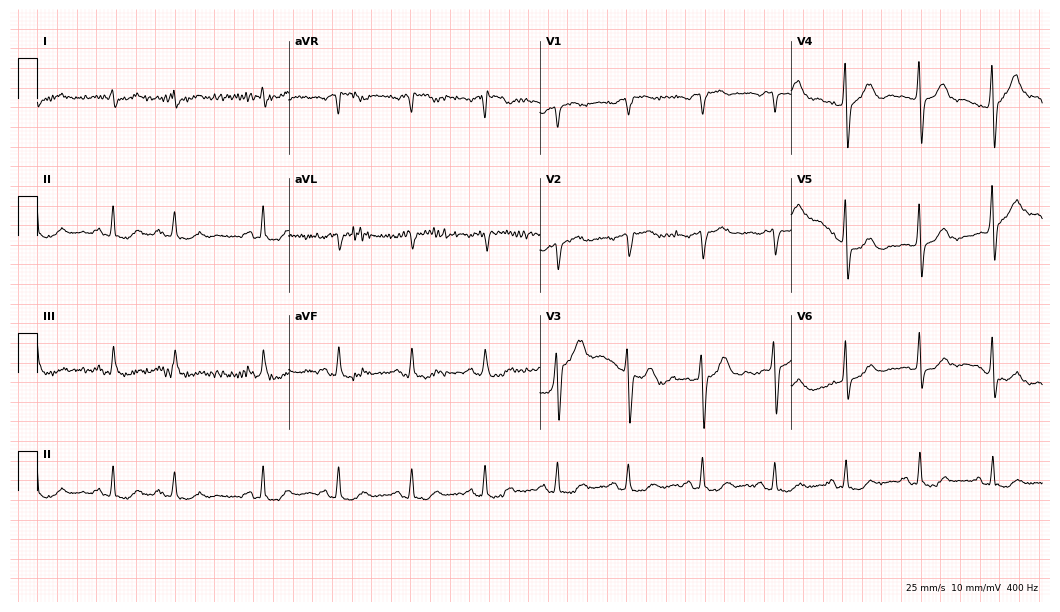
Resting 12-lead electrocardiogram (10.2-second recording at 400 Hz). Patient: an 82-year-old male. None of these six findings is recorded: first-degree AV block, right bundle branch block (RBBB), left bundle branch block (LBBB), sinus bradycardia, atrial fibrillation (AF), sinus tachycardia.